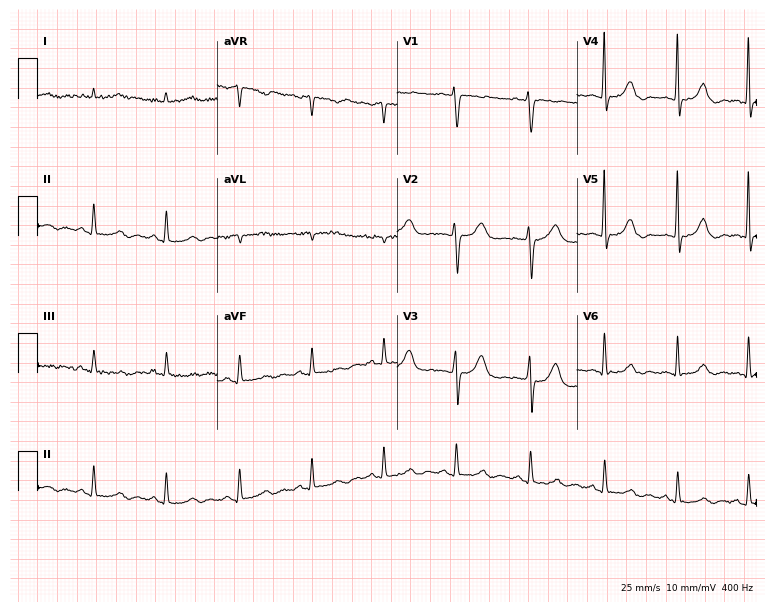
12-lead ECG from a female patient, 36 years old. No first-degree AV block, right bundle branch block (RBBB), left bundle branch block (LBBB), sinus bradycardia, atrial fibrillation (AF) or sinus tachycardia recorded for this tracing.